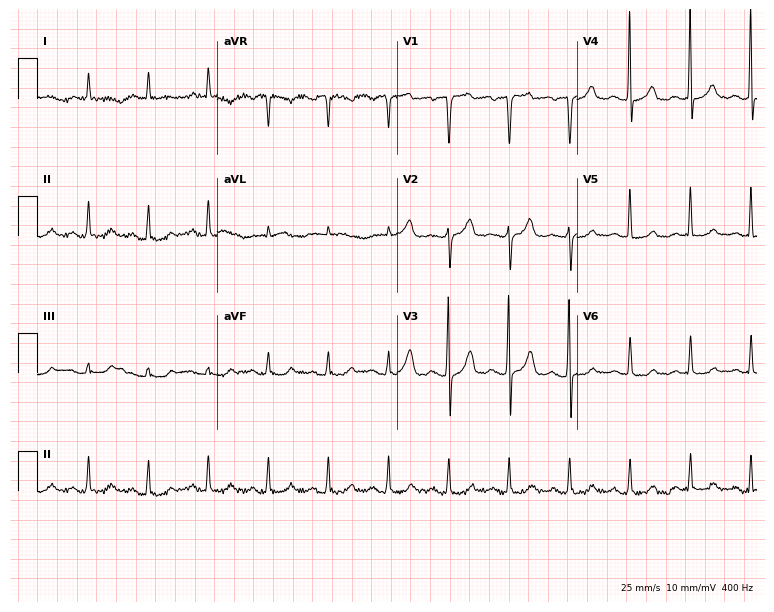
12-lead ECG (7.3-second recording at 400 Hz) from a 49-year-old male. Labelled as a normal ECG.